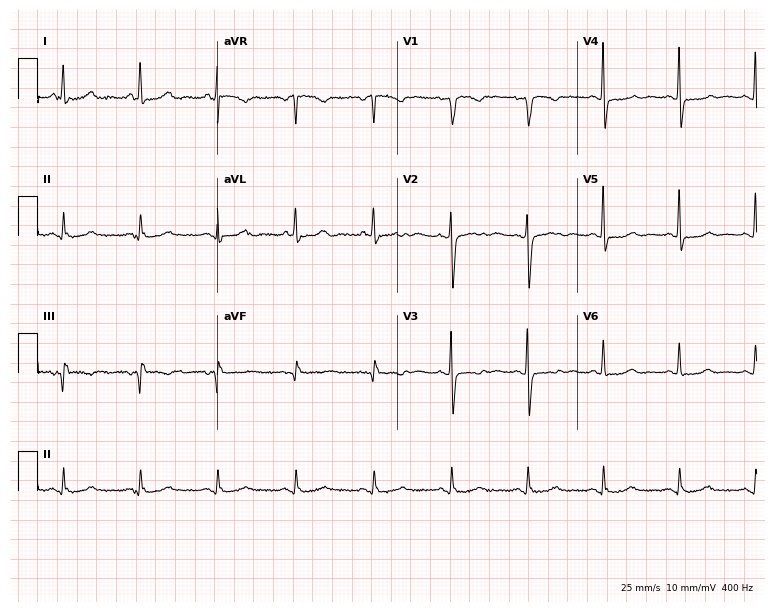
Electrocardiogram, a 69-year-old woman. Of the six screened findings (first-degree AV block, right bundle branch block (RBBB), left bundle branch block (LBBB), sinus bradycardia, atrial fibrillation (AF), sinus tachycardia), none is recorded. Only these six findings were labelled.